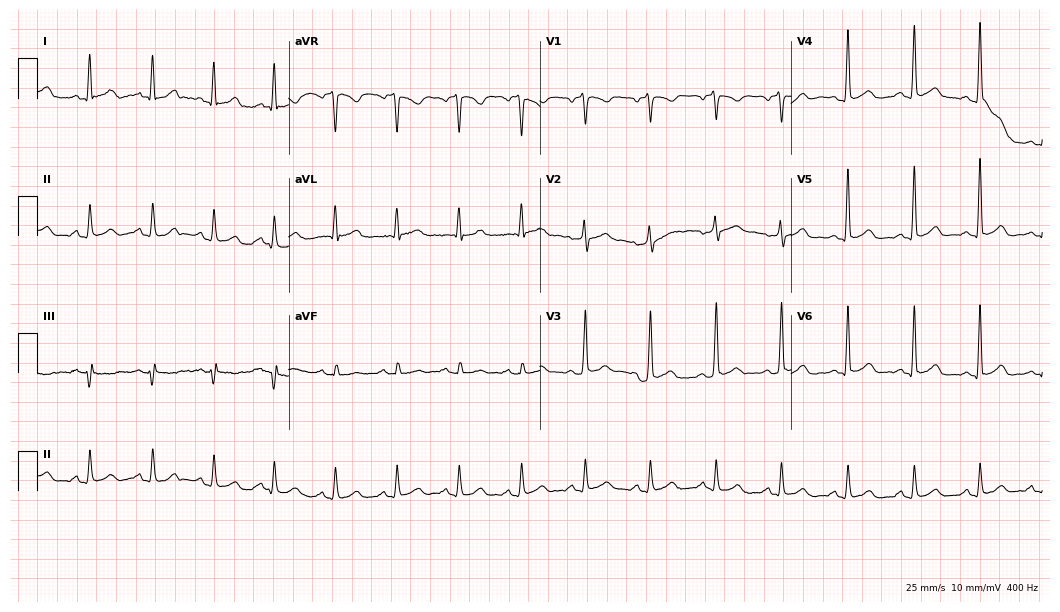
12-lead ECG (10.2-second recording at 400 Hz) from a 49-year-old male patient. Screened for six findings — first-degree AV block, right bundle branch block, left bundle branch block, sinus bradycardia, atrial fibrillation, sinus tachycardia — none is recorded. Only these six findings were labelled.